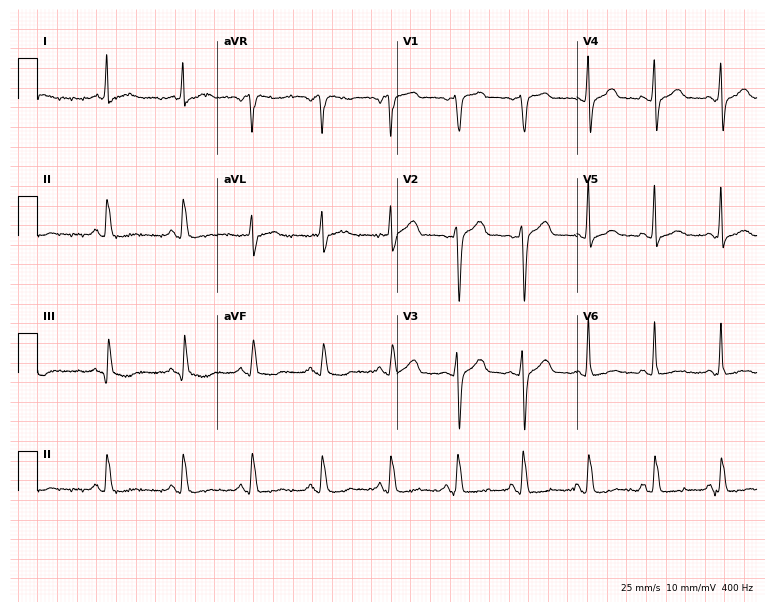
Standard 12-lead ECG recorded from a female, 57 years old (7.3-second recording at 400 Hz). None of these six findings is recorded: first-degree AV block, right bundle branch block, left bundle branch block, sinus bradycardia, atrial fibrillation, sinus tachycardia.